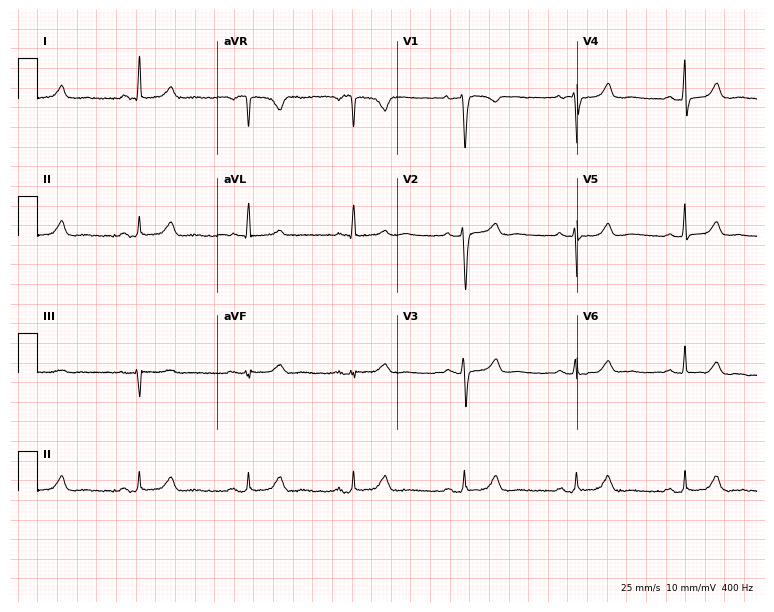
12-lead ECG from a 35-year-old female. No first-degree AV block, right bundle branch block (RBBB), left bundle branch block (LBBB), sinus bradycardia, atrial fibrillation (AF) or sinus tachycardia recorded for this tracing. Only these six findings were labelled.